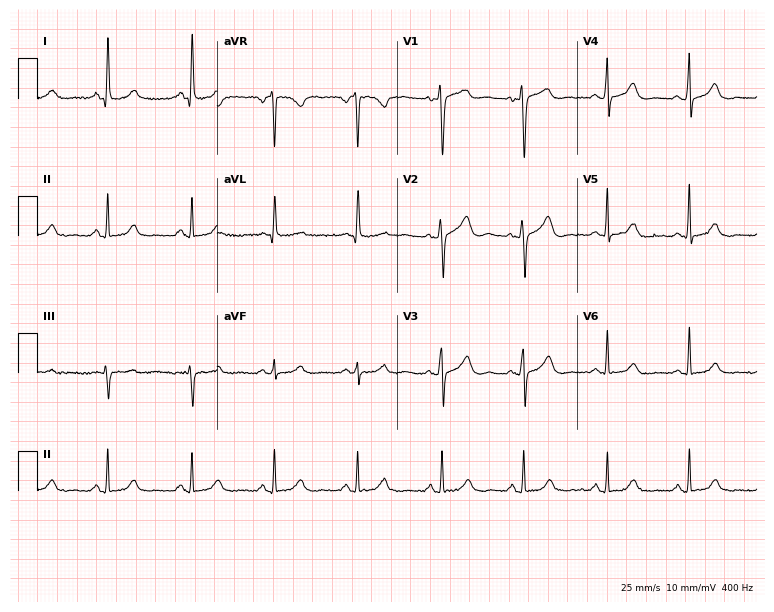
Electrocardiogram (7.3-second recording at 400 Hz), a female patient, 43 years old. Of the six screened findings (first-degree AV block, right bundle branch block, left bundle branch block, sinus bradycardia, atrial fibrillation, sinus tachycardia), none is recorded.